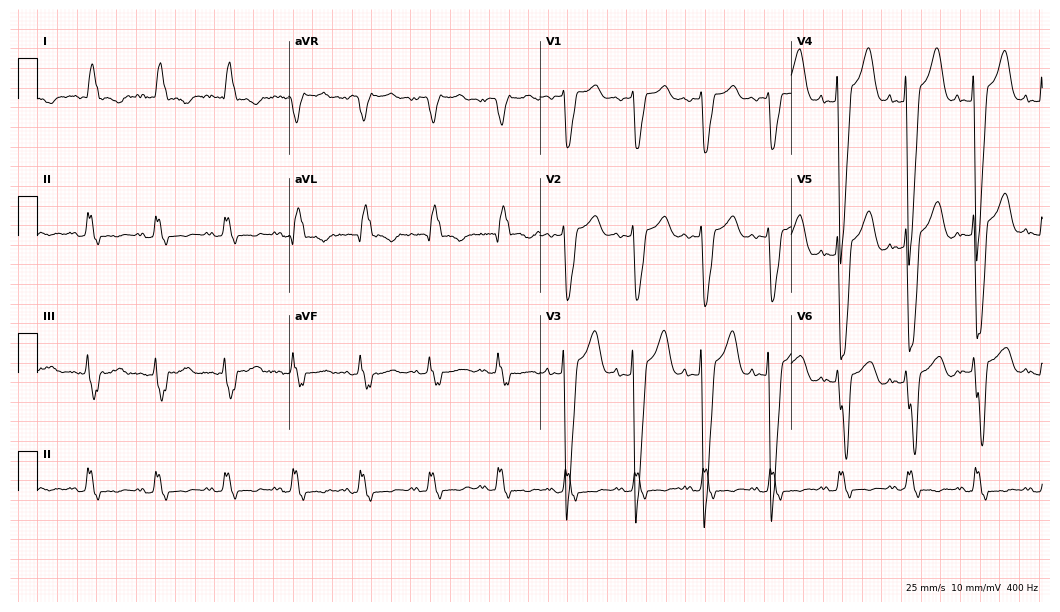
Resting 12-lead electrocardiogram (10.2-second recording at 400 Hz). Patient: a 77-year-old female. The tracing shows left bundle branch block.